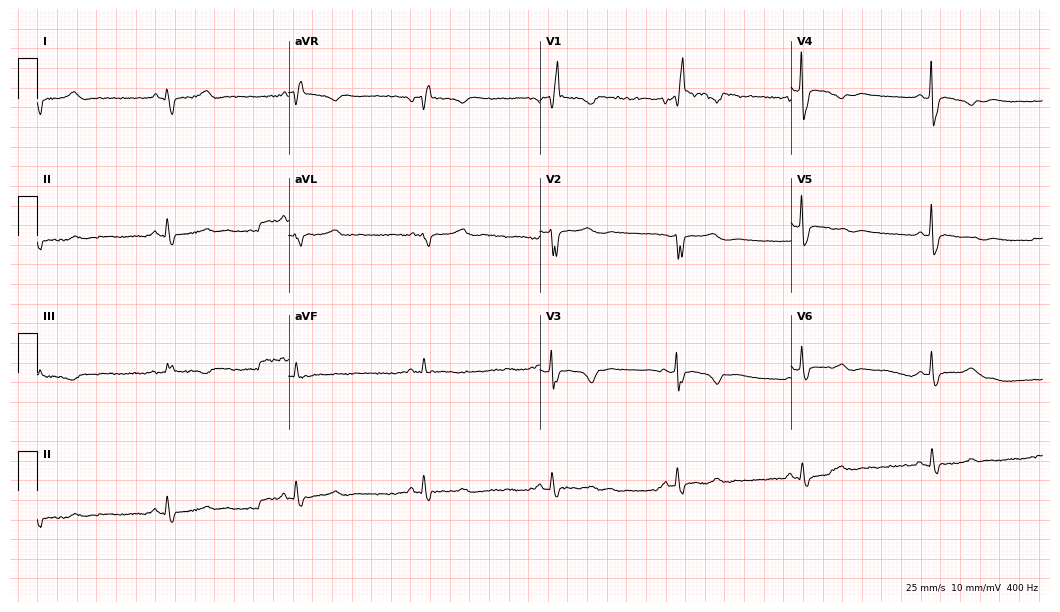
Electrocardiogram (10.2-second recording at 400 Hz), a 62-year-old woman. Of the six screened findings (first-degree AV block, right bundle branch block (RBBB), left bundle branch block (LBBB), sinus bradycardia, atrial fibrillation (AF), sinus tachycardia), none is recorded. Only these six findings were labelled.